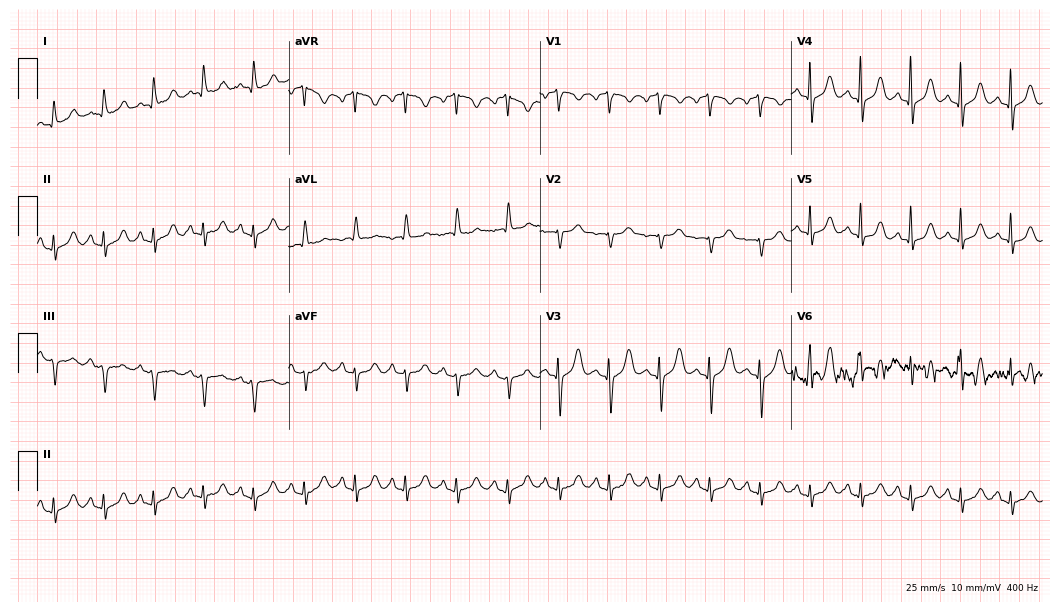
Standard 12-lead ECG recorded from a 69-year-old female (10.2-second recording at 400 Hz). The tracing shows sinus tachycardia (a sinus rate of 100 beats per minute or more).